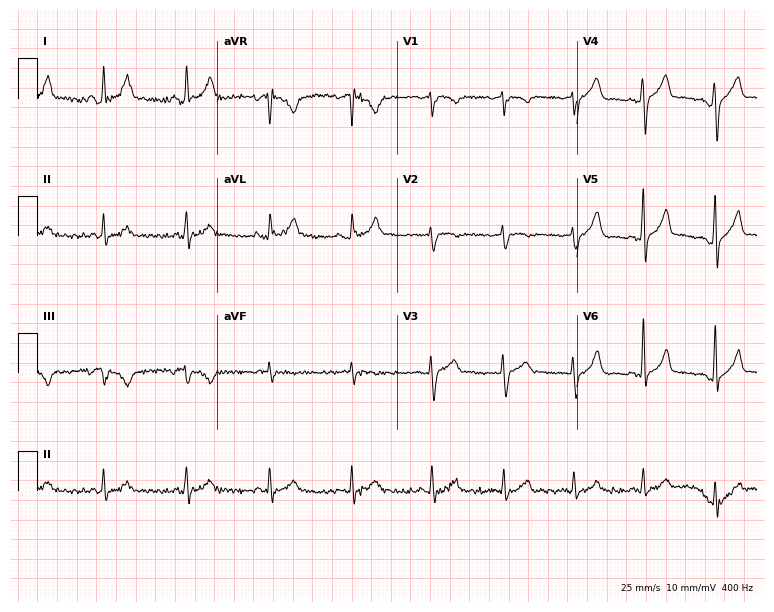
Resting 12-lead electrocardiogram (7.3-second recording at 400 Hz). Patient: a male, 42 years old. Read as a normal ECG.